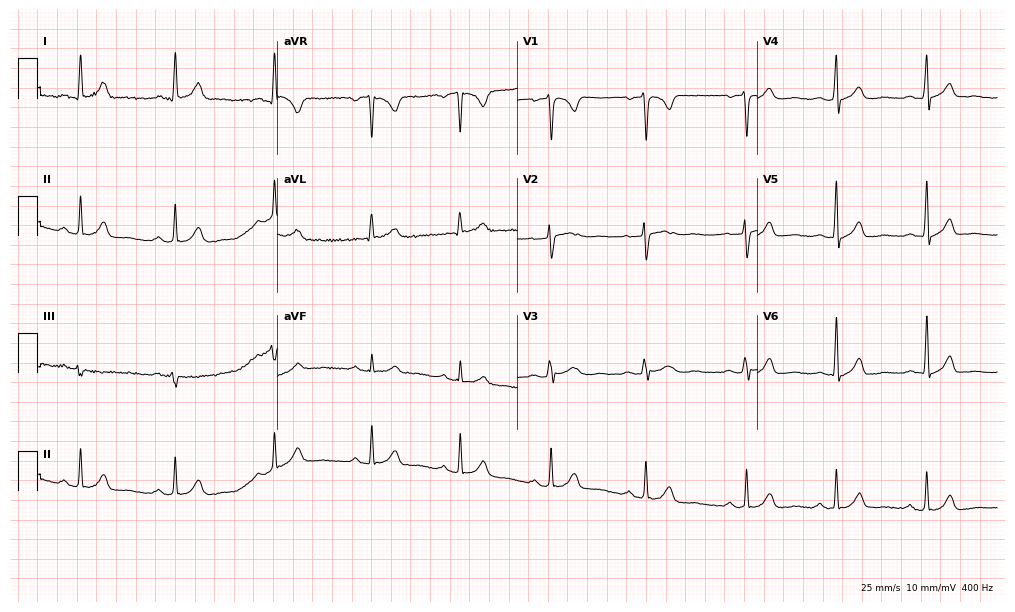
Standard 12-lead ECG recorded from a 34-year-old female patient. Read as a normal ECG.